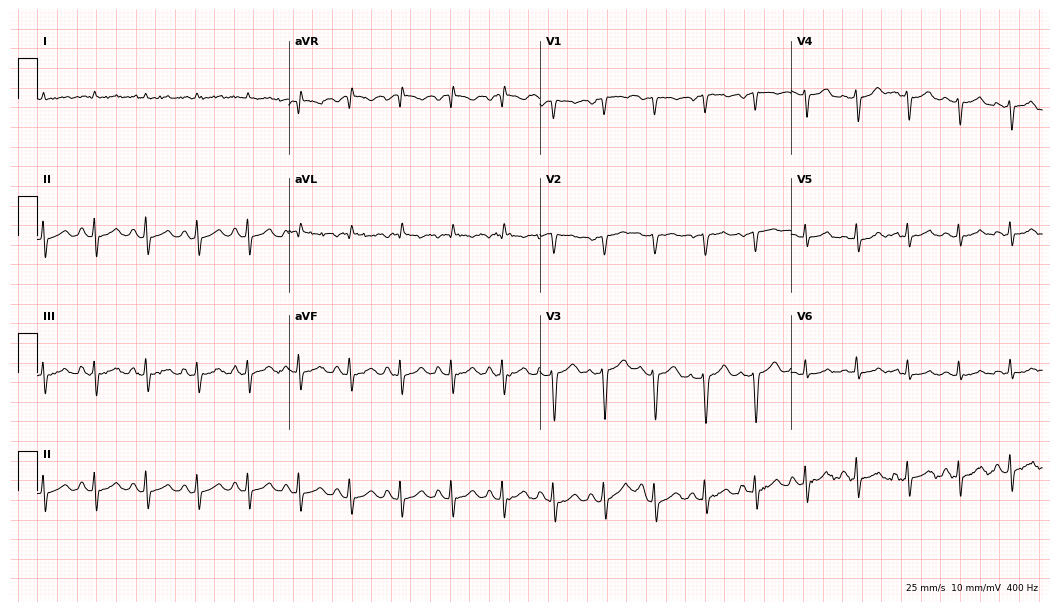
Standard 12-lead ECG recorded from a 67-year-old man (10.2-second recording at 400 Hz). The tracing shows sinus tachycardia (a sinus rate of 100 beats per minute or more).